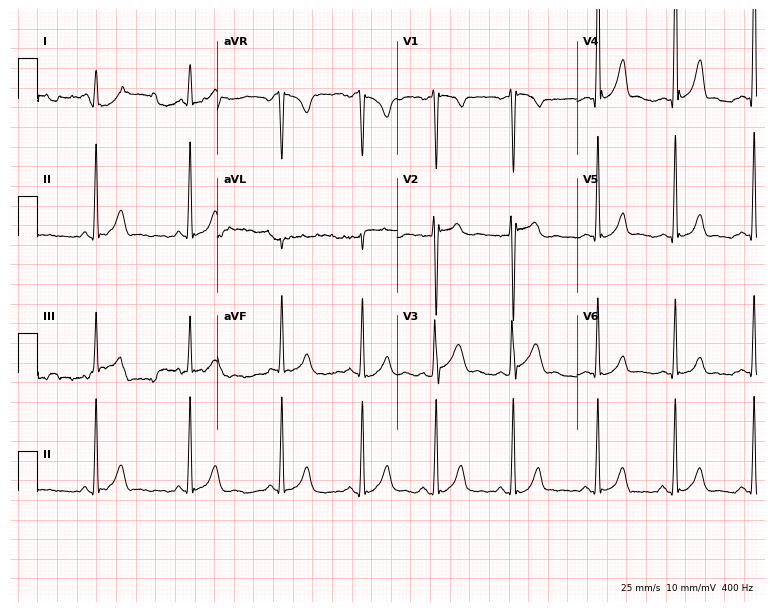
Standard 12-lead ECG recorded from a male, 17 years old. None of these six findings is recorded: first-degree AV block, right bundle branch block, left bundle branch block, sinus bradycardia, atrial fibrillation, sinus tachycardia. Only these six findings were labelled.